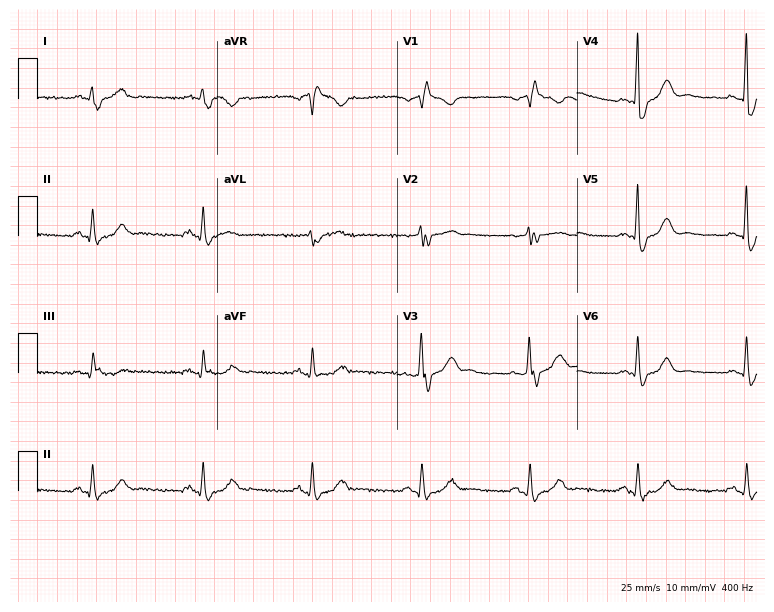
Electrocardiogram (7.3-second recording at 400 Hz), an 80-year-old male. Interpretation includes right bundle branch block.